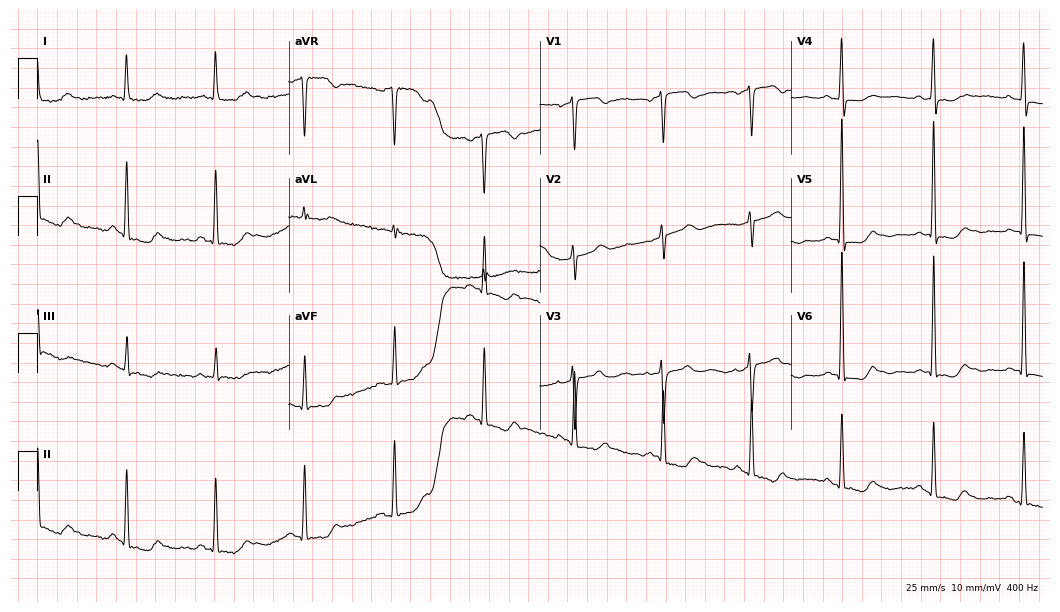
12-lead ECG from a 72-year-old female patient. Screened for six findings — first-degree AV block, right bundle branch block, left bundle branch block, sinus bradycardia, atrial fibrillation, sinus tachycardia — none is recorded. Other findings, if any, are not listed.